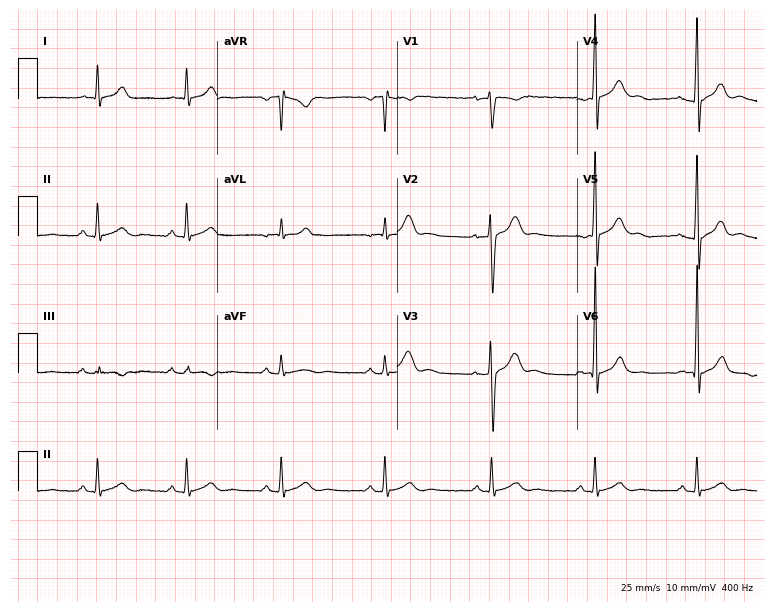
12-lead ECG (7.3-second recording at 400 Hz) from a male patient, 30 years old. Labelled as a normal ECG.